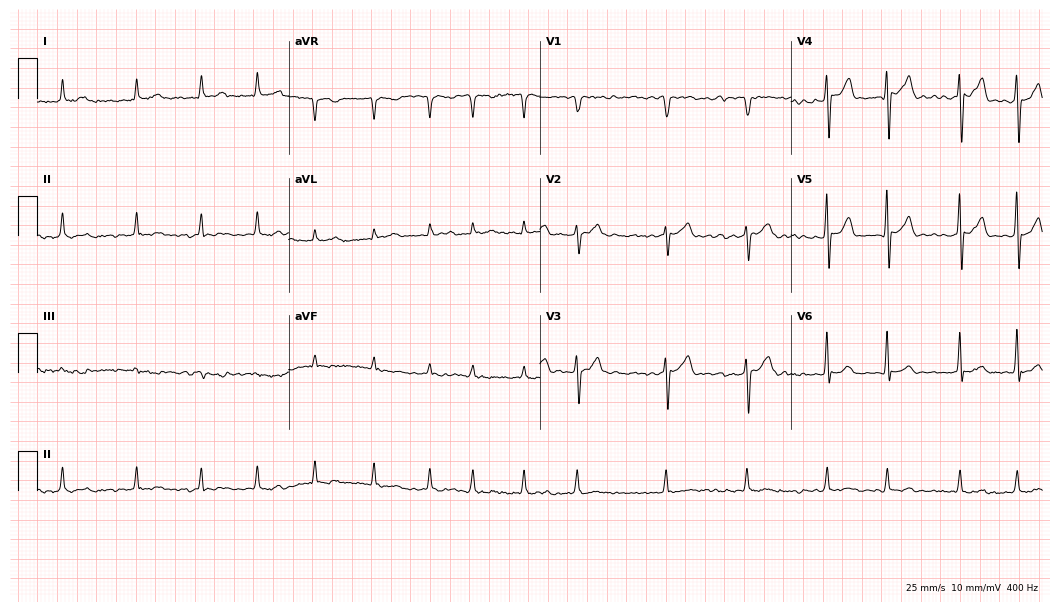
Resting 12-lead electrocardiogram. Patient: a male, 78 years old. The tracing shows atrial fibrillation.